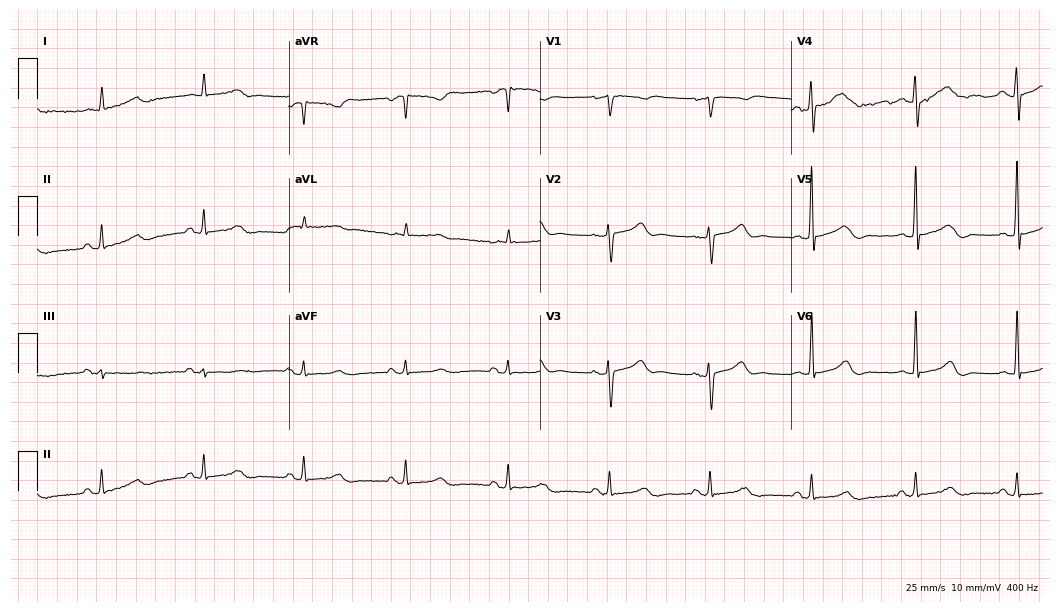
Standard 12-lead ECG recorded from a female, 51 years old (10.2-second recording at 400 Hz). Read as a normal ECG.